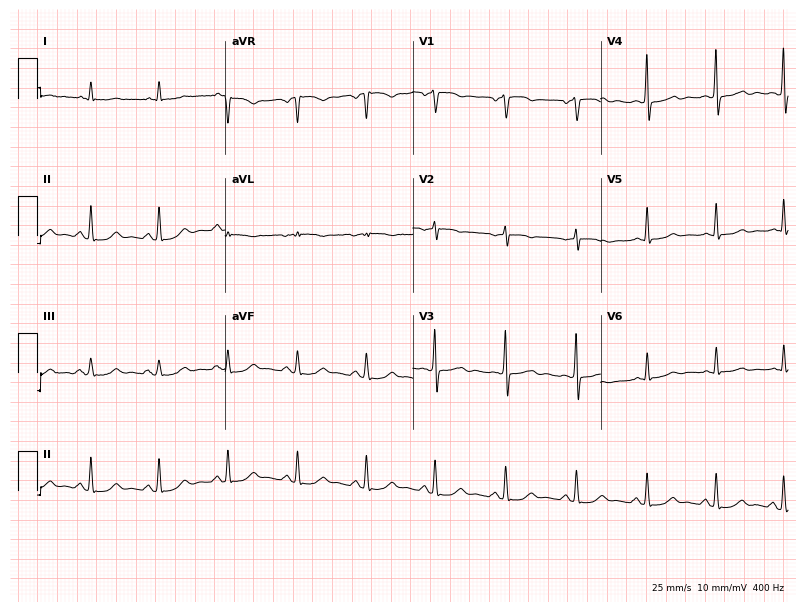
12-lead ECG from a 68-year-old man (7.7-second recording at 400 Hz). No first-degree AV block, right bundle branch block, left bundle branch block, sinus bradycardia, atrial fibrillation or sinus tachycardia recorded for this tracing. Only these six findings were labelled.